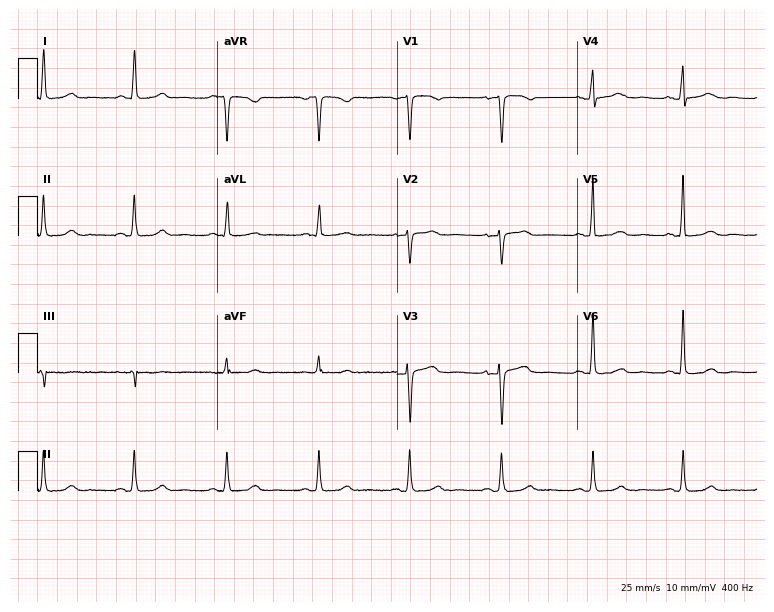
ECG (7.3-second recording at 400 Hz) — a 74-year-old woman. Labelled as a normal ECG.